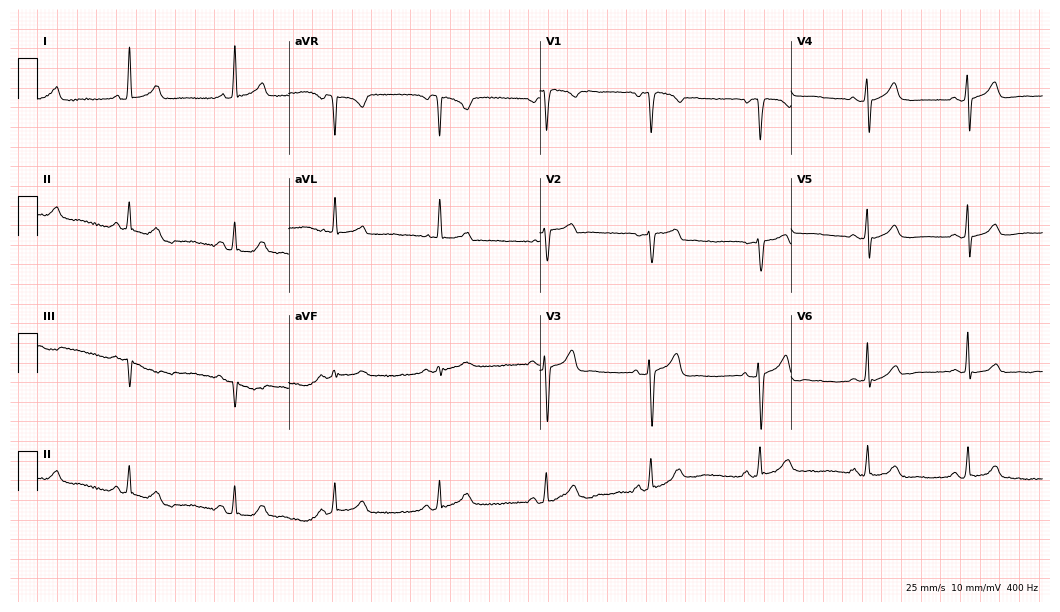
12-lead ECG from a female patient, 60 years old. Recorded interpretation: within normal limits.